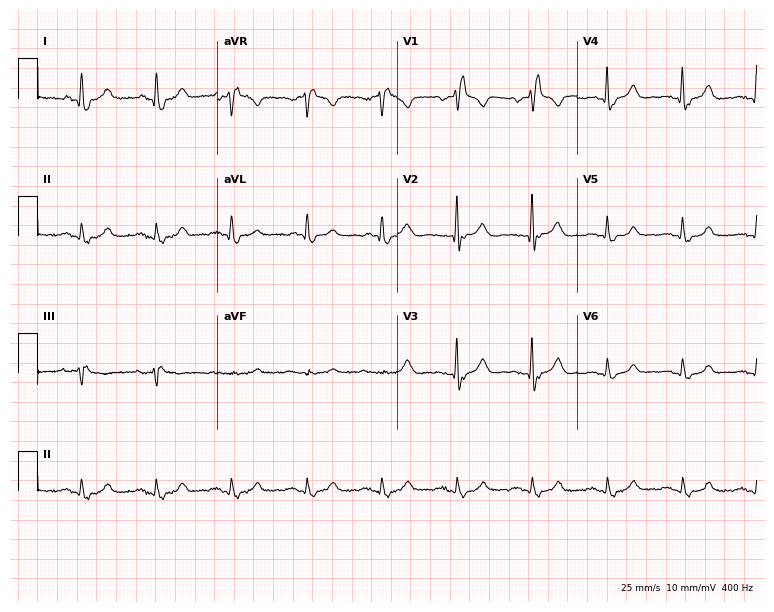
Resting 12-lead electrocardiogram. Patient: a 79-year-old woman. The tracing shows right bundle branch block.